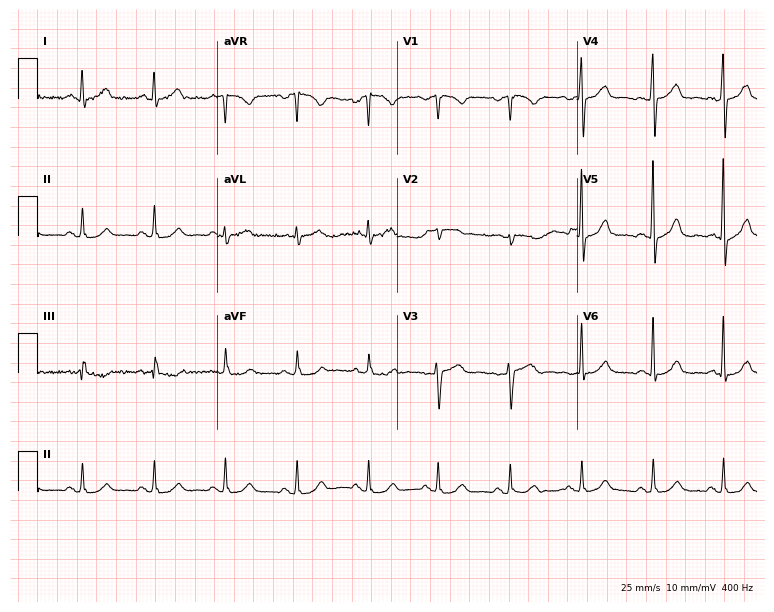
Electrocardiogram (7.3-second recording at 400 Hz), a woman, 55 years old. Of the six screened findings (first-degree AV block, right bundle branch block (RBBB), left bundle branch block (LBBB), sinus bradycardia, atrial fibrillation (AF), sinus tachycardia), none is recorded. Only these six findings were labelled.